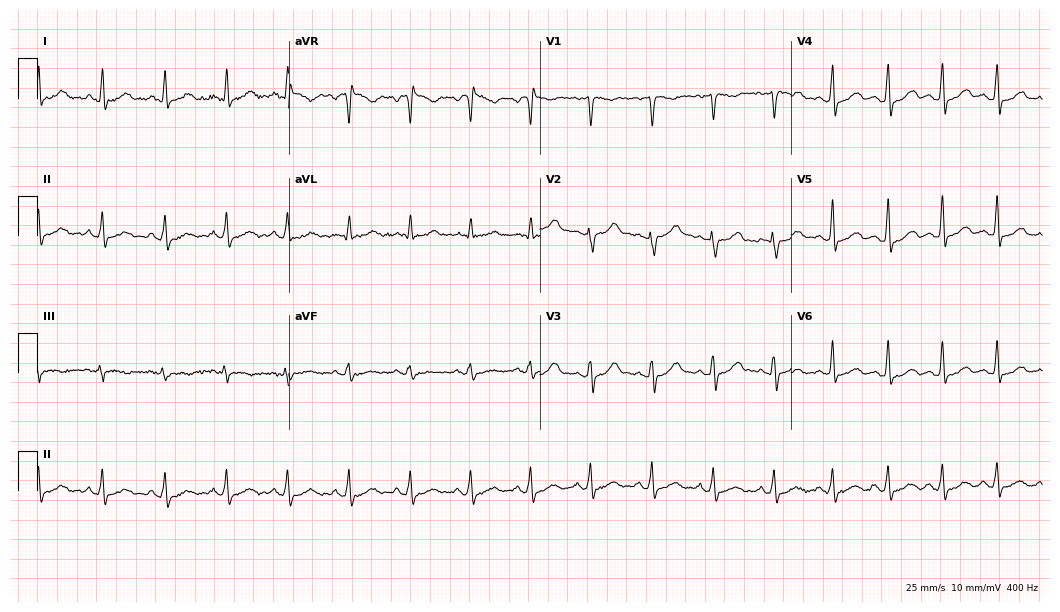
Electrocardiogram, a female patient, 41 years old. Overall reading on record: normal ECG.